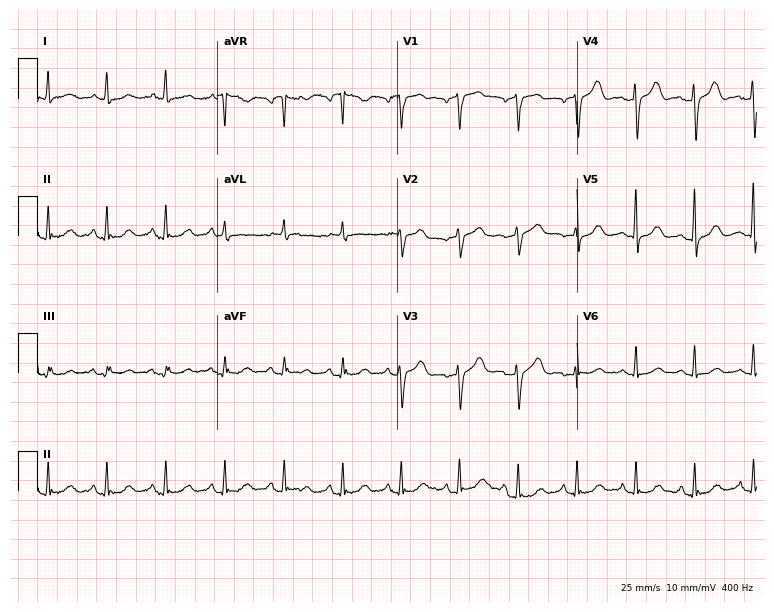
Resting 12-lead electrocardiogram. Patient: a 79-year-old woman. None of these six findings is recorded: first-degree AV block, right bundle branch block, left bundle branch block, sinus bradycardia, atrial fibrillation, sinus tachycardia. Findings outside these six are not listed.